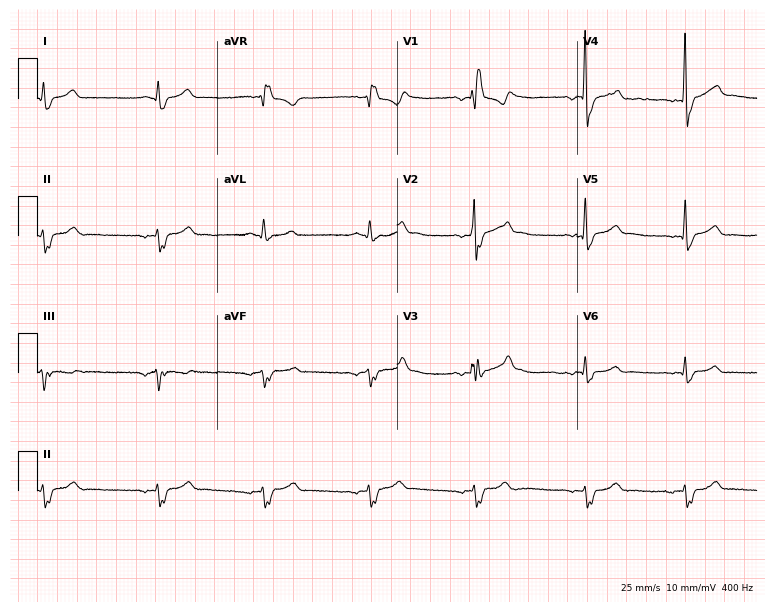
Standard 12-lead ECG recorded from a 47-year-old male patient. The tracing shows right bundle branch block.